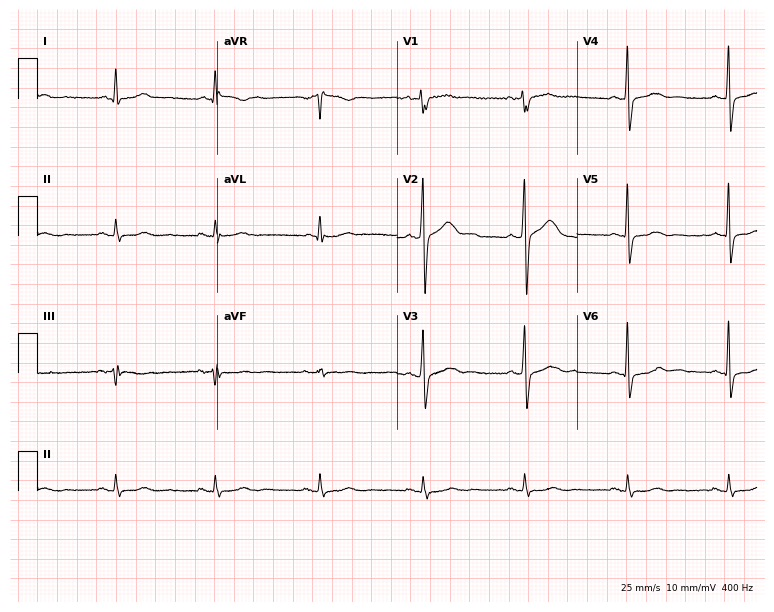
Electrocardiogram, a 52-year-old man. Overall reading on record: normal ECG.